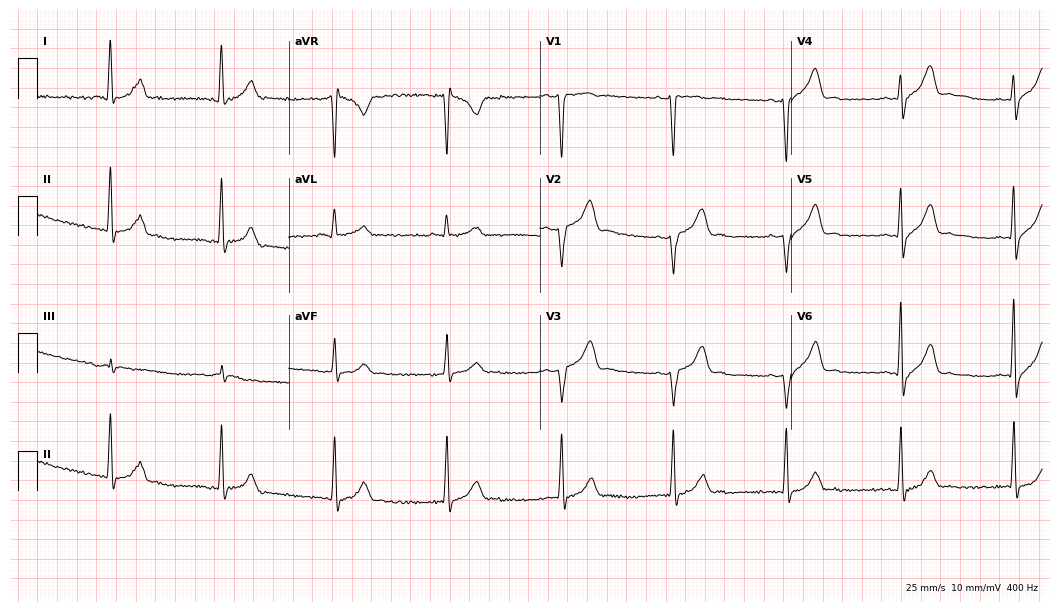
Resting 12-lead electrocardiogram (10.2-second recording at 400 Hz). Patient: a man, 46 years old. None of these six findings is recorded: first-degree AV block, right bundle branch block, left bundle branch block, sinus bradycardia, atrial fibrillation, sinus tachycardia. Findings outside these six are not listed.